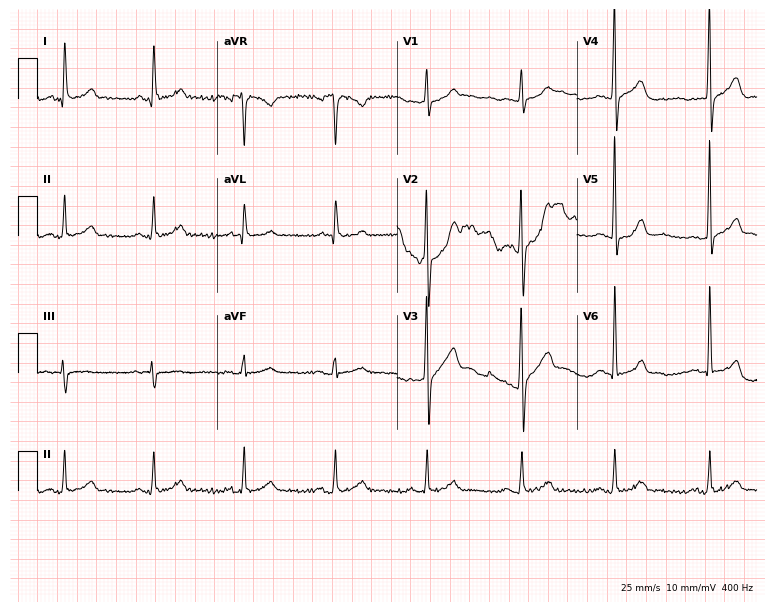
12-lead ECG from a 50-year-old male (7.3-second recording at 400 Hz). Recorded interpretation: within normal limits.